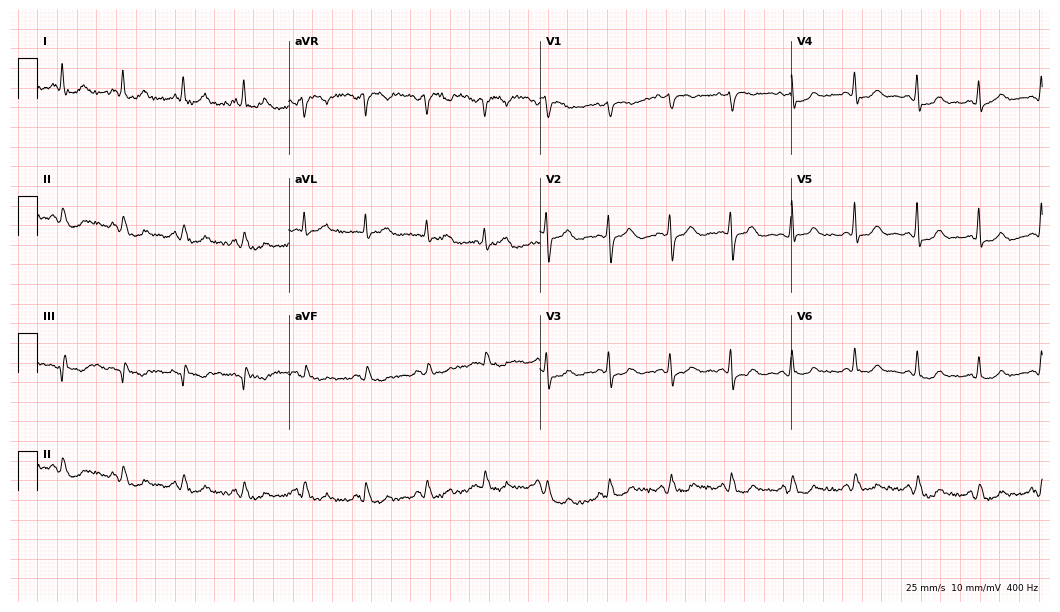
ECG (10.2-second recording at 400 Hz) — an 82-year-old female patient. Labelled as a normal ECG.